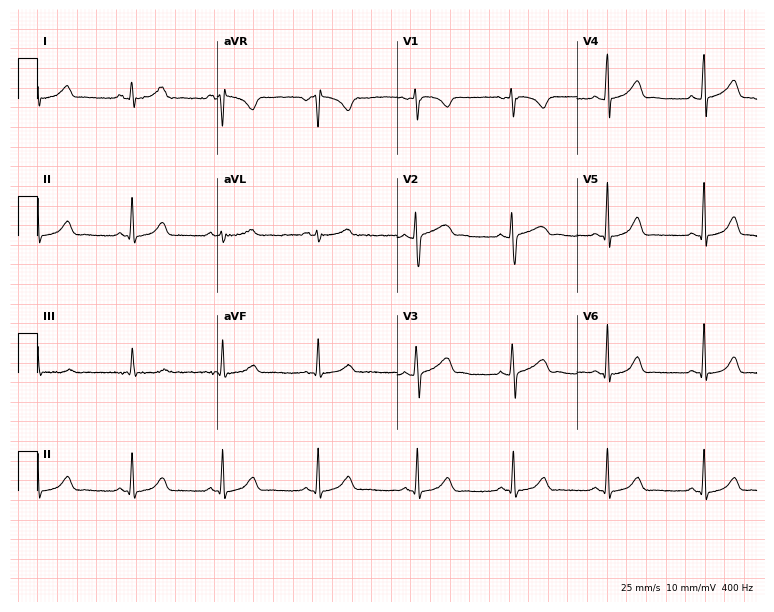
ECG — a 26-year-old woman. Labelled as a normal ECG.